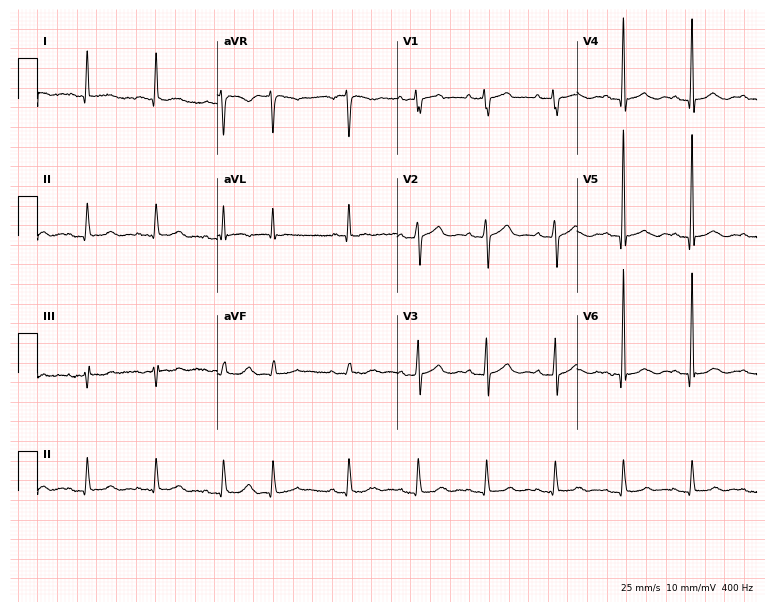
12-lead ECG from an 83-year-old female patient. Screened for six findings — first-degree AV block, right bundle branch block, left bundle branch block, sinus bradycardia, atrial fibrillation, sinus tachycardia — none is recorded.